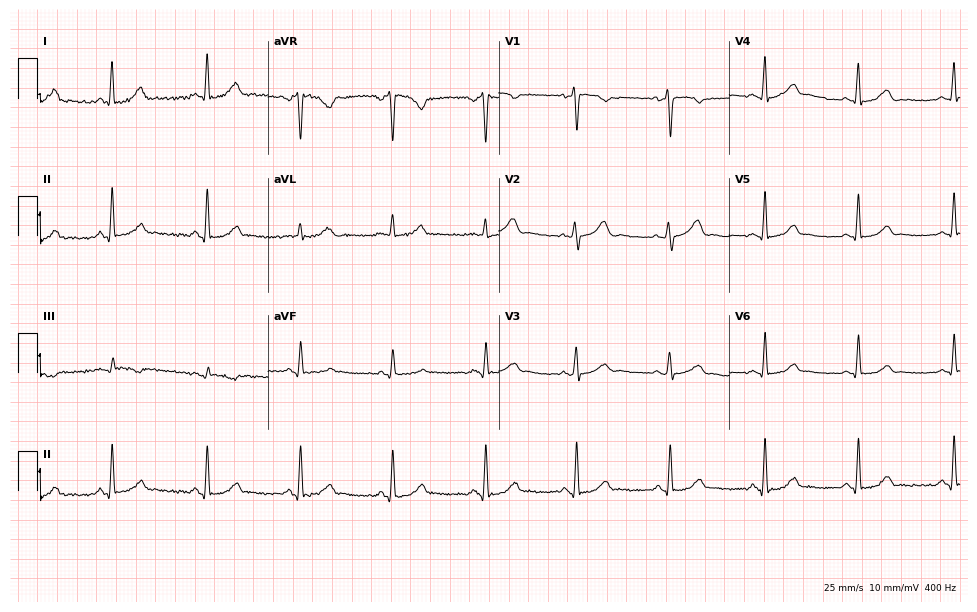
Electrocardiogram, a female, 41 years old. Overall reading on record: normal ECG.